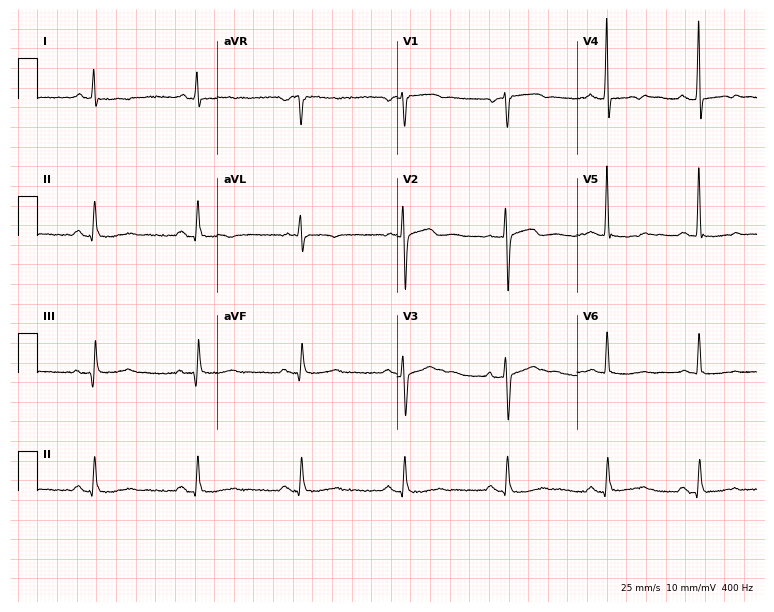
Electrocardiogram (7.3-second recording at 400 Hz), a 74-year-old man. Of the six screened findings (first-degree AV block, right bundle branch block, left bundle branch block, sinus bradycardia, atrial fibrillation, sinus tachycardia), none is recorded. Only these six findings were labelled.